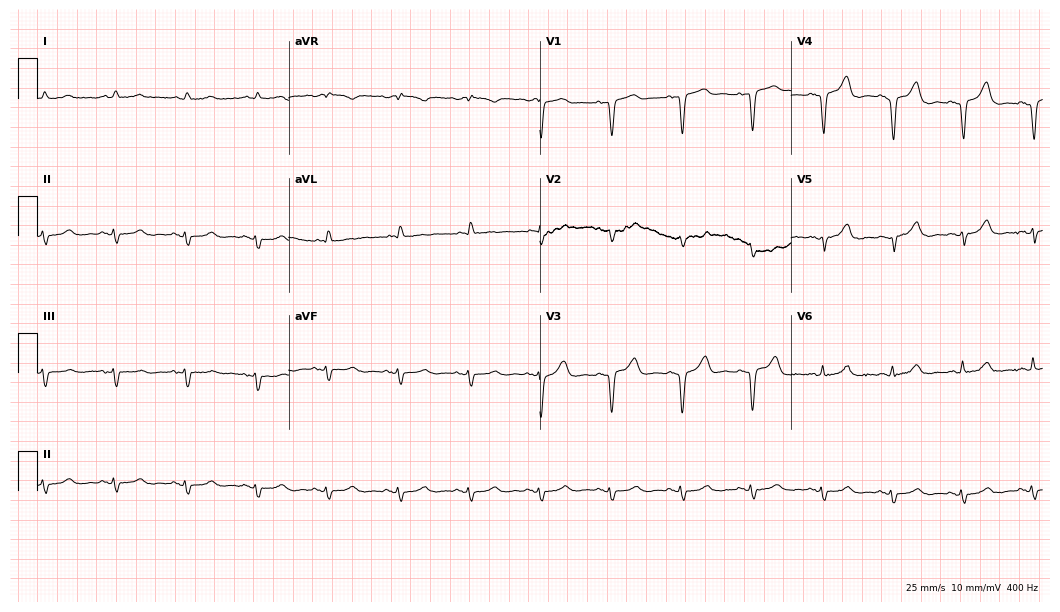
12-lead ECG (10.2-second recording at 400 Hz) from a male, 33 years old. Screened for six findings — first-degree AV block, right bundle branch block (RBBB), left bundle branch block (LBBB), sinus bradycardia, atrial fibrillation (AF), sinus tachycardia — none is recorded.